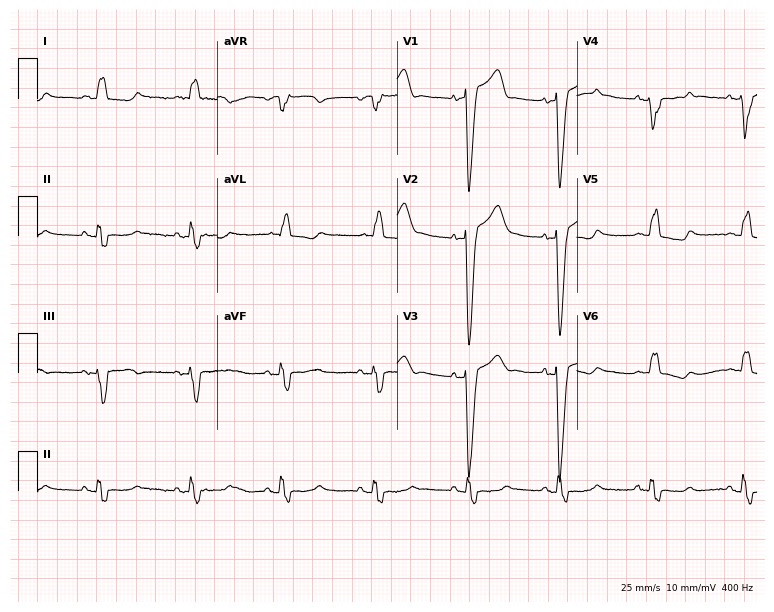
Resting 12-lead electrocardiogram (7.3-second recording at 400 Hz). Patient: a male, 74 years old. The tracing shows left bundle branch block.